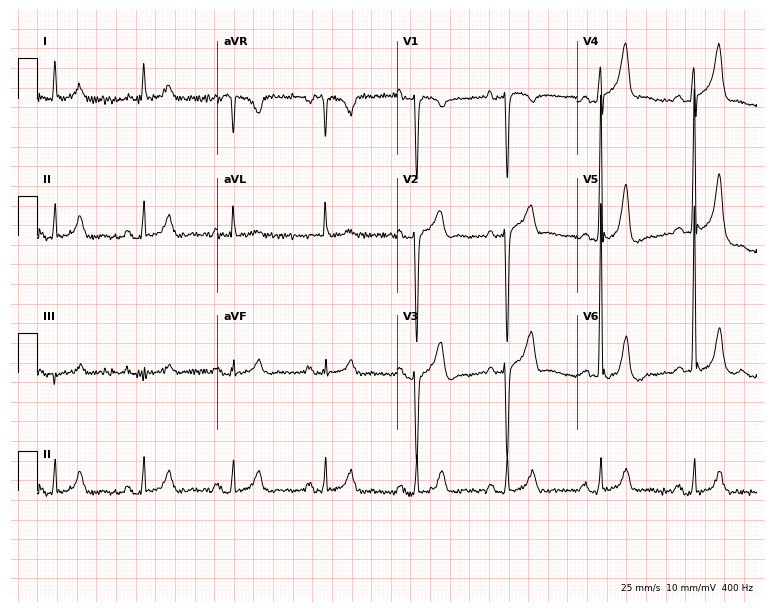
12-lead ECG (7.3-second recording at 400 Hz) from a male patient, 65 years old. Screened for six findings — first-degree AV block, right bundle branch block, left bundle branch block, sinus bradycardia, atrial fibrillation, sinus tachycardia — none is recorded.